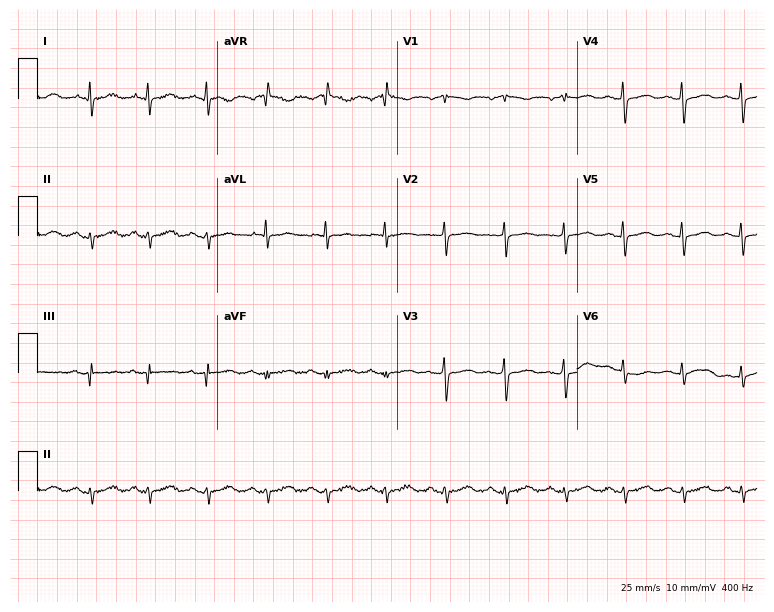
Electrocardiogram, a 51-year-old female. Of the six screened findings (first-degree AV block, right bundle branch block (RBBB), left bundle branch block (LBBB), sinus bradycardia, atrial fibrillation (AF), sinus tachycardia), none is recorded. Findings outside these six are not listed.